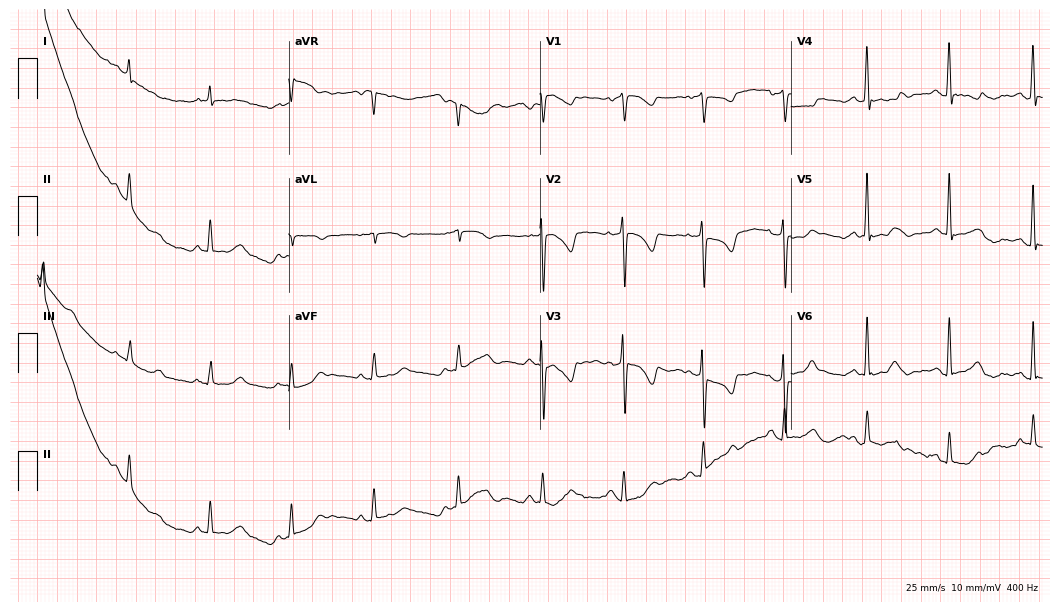
Electrocardiogram, a woman, 50 years old. Of the six screened findings (first-degree AV block, right bundle branch block, left bundle branch block, sinus bradycardia, atrial fibrillation, sinus tachycardia), none is recorded. Findings outside these six are not listed.